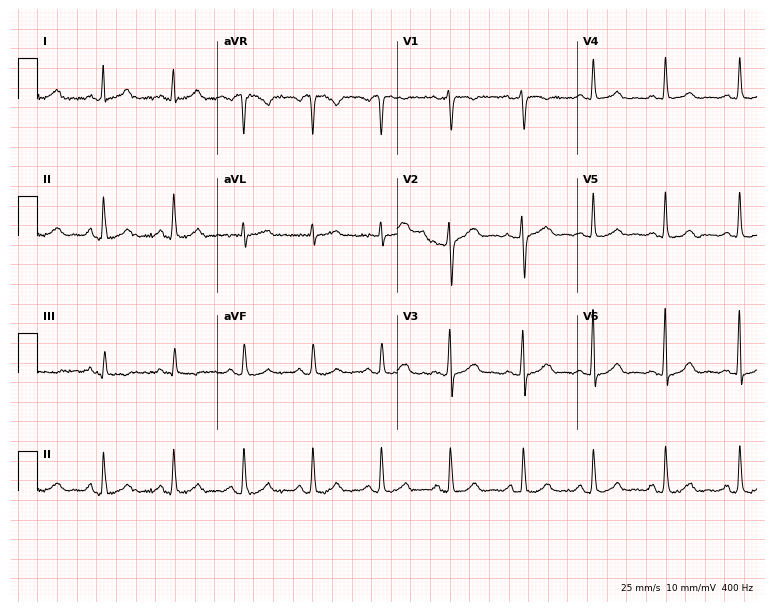
Standard 12-lead ECG recorded from a male, 40 years old (7.3-second recording at 400 Hz). None of these six findings is recorded: first-degree AV block, right bundle branch block (RBBB), left bundle branch block (LBBB), sinus bradycardia, atrial fibrillation (AF), sinus tachycardia. Findings outside these six are not listed.